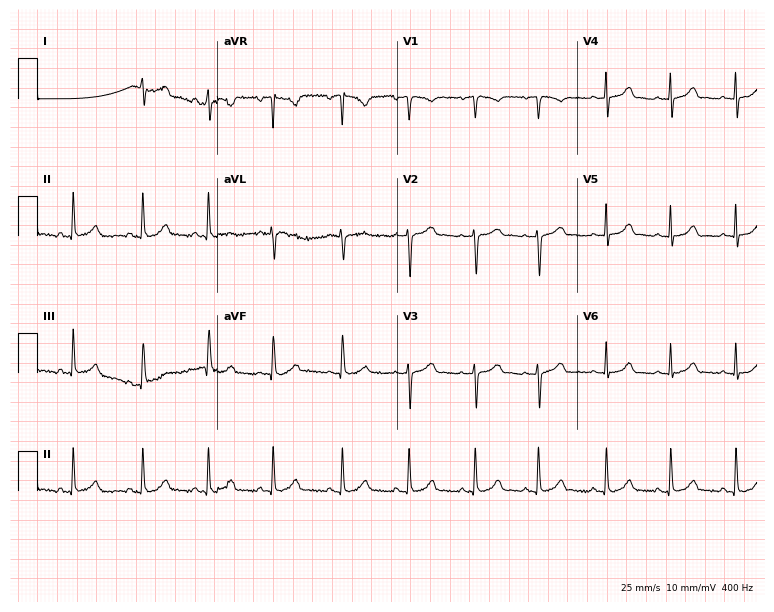
12-lead ECG (7.3-second recording at 400 Hz) from a female, 24 years old. Screened for six findings — first-degree AV block, right bundle branch block (RBBB), left bundle branch block (LBBB), sinus bradycardia, atrial fibrillation (AF), sinus tachycardia — none is recorded. Findings outside these six are not listed.